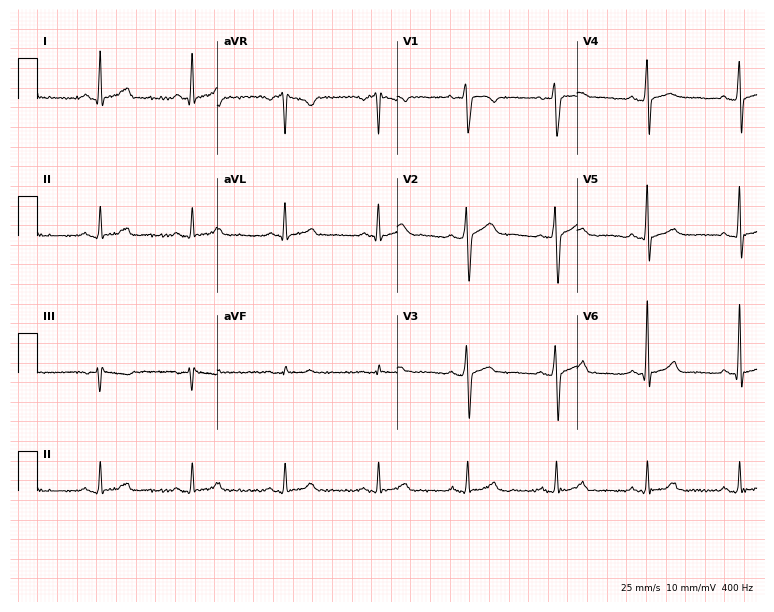
12-lead ECG from a 37-year-old man (7.3-second recording at 400 Hz). Recorded interpretation: within normal limits.